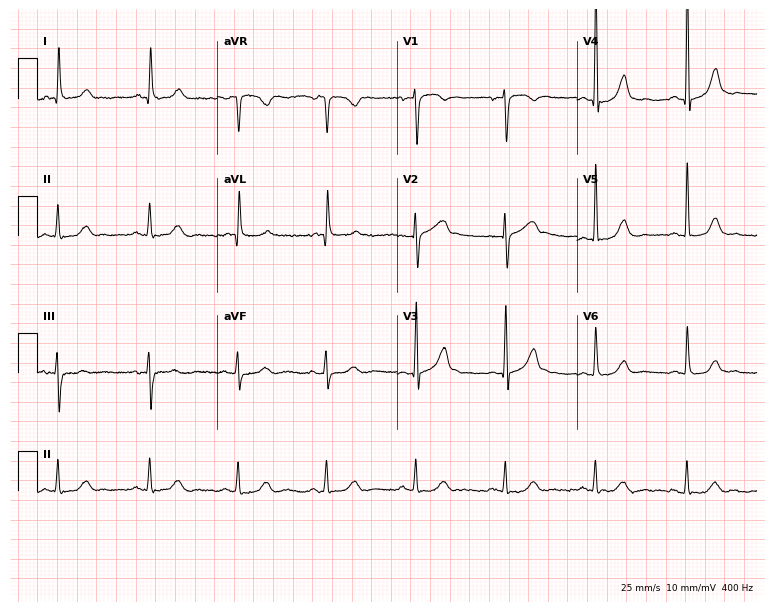
Resting 12-lead electrocardiogram. Patient: a male, 79 years old. Read as a normal ECG.